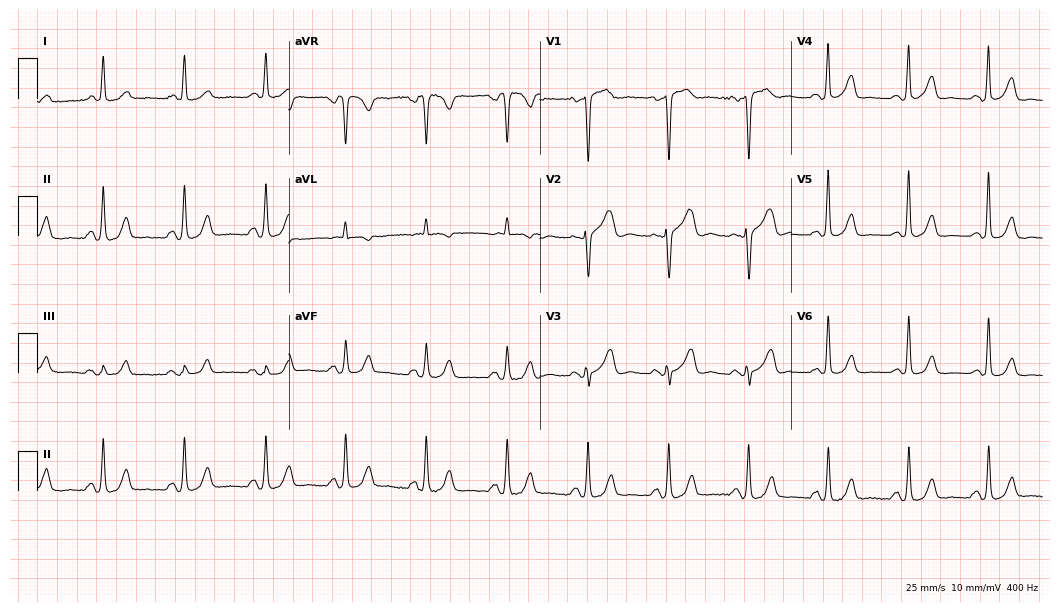
12-lead ECG from a 66-year-old woman. Recorded interpretation: within normal limits.